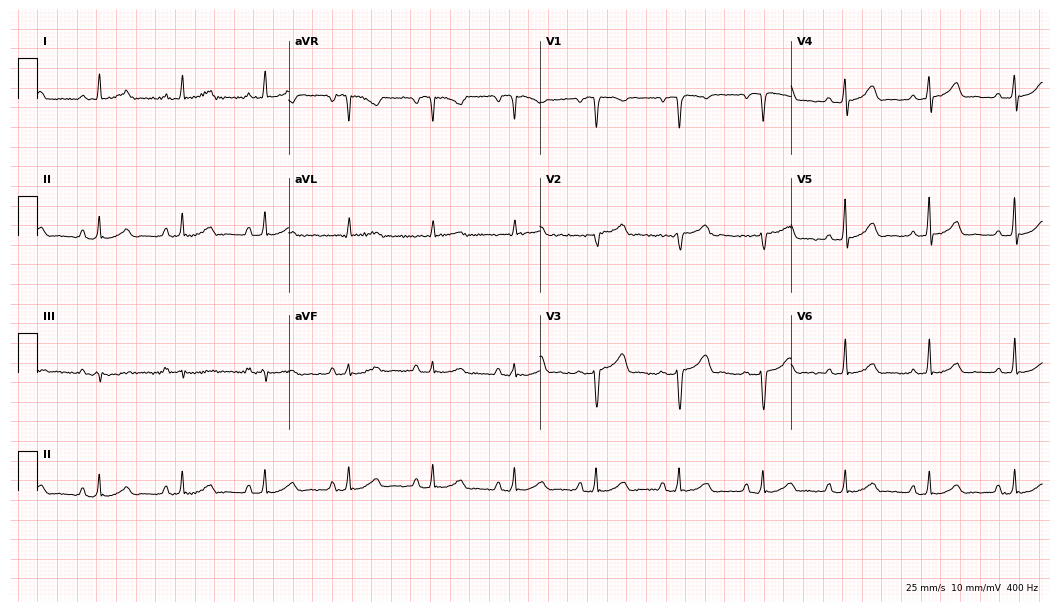
Standard 12-lead ECG recorded from a female patient, 47 years old (10.2-second recording at 400 Hz). None of these six findings is recorded: first-degree AV block, right bundle branch block (RBBB), left bundle branch block (LBBB), sinus bradycardia, atrial fibrillation (AF), sinus tachycardia.